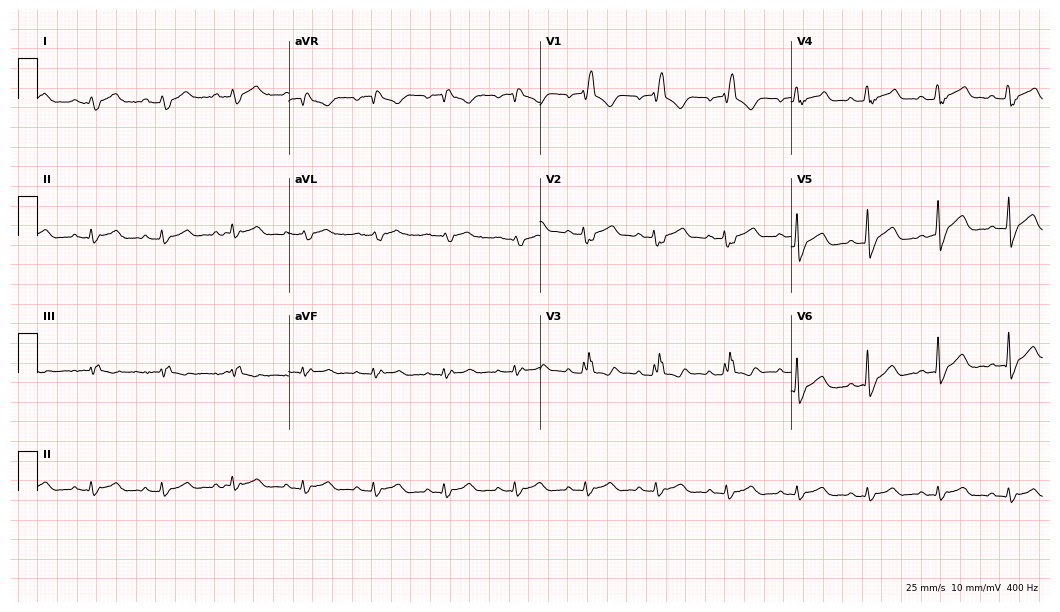
ECG — a 60-year-old man. Findings include right bundle branch block.